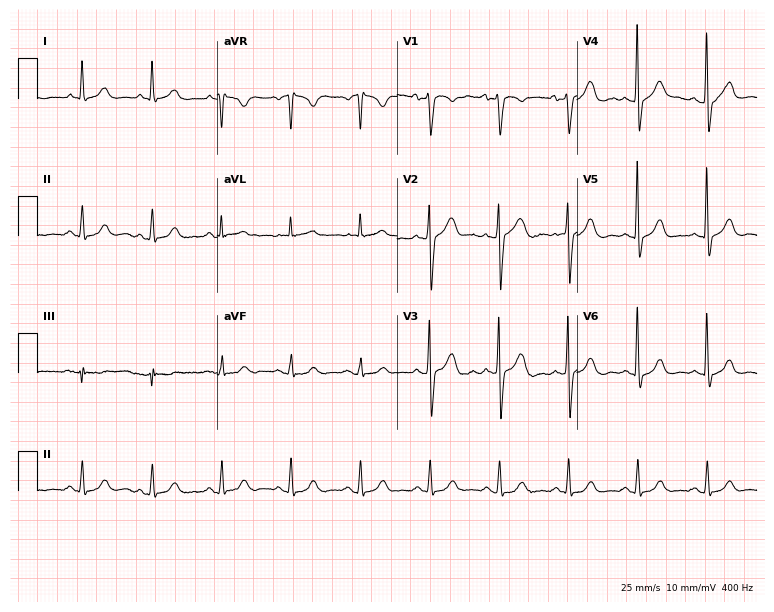
Electrocardiogram (7.3-second recording at 400 Hz), a 73-year-old man. Overall reading on record: normal ECG.